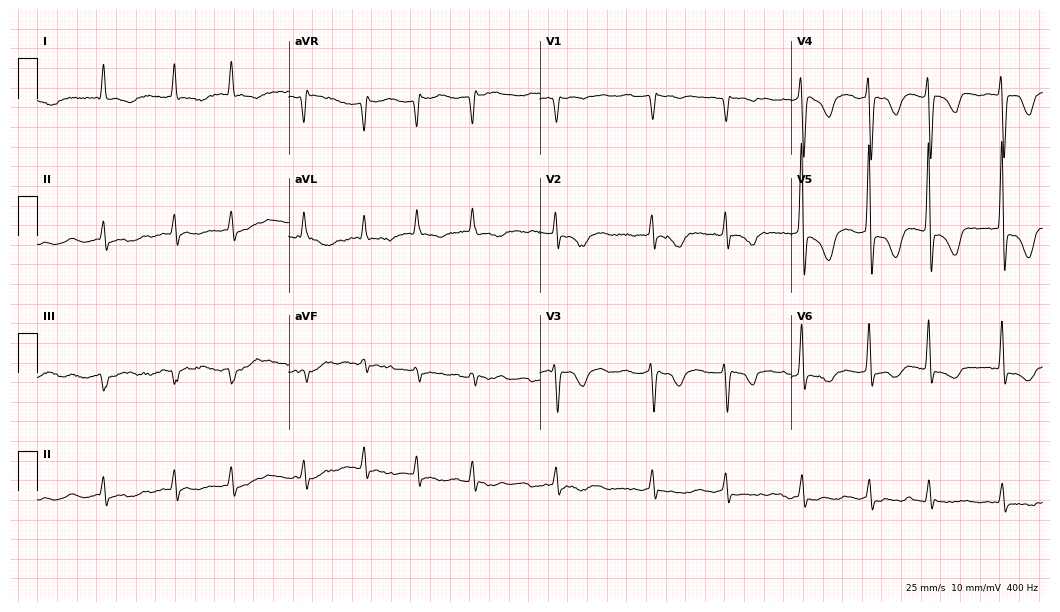
12-lead ECG (10.2-second recording at 400 Hz) from a female, 79 years old. Screened for six findings — first-degree AV block, right bundle branch block, left bundle branch block, sinus bradycardia, atrial fibrillation, sinus tachycardia — none is recorded. Other findings, if any, are not listed.